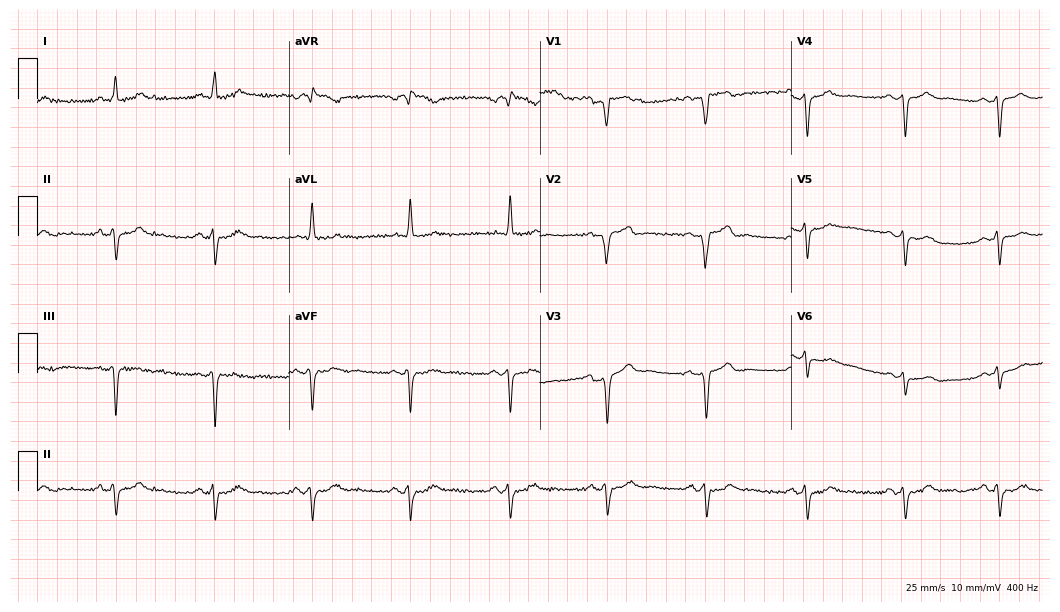
Resting 12-lead electrocardiogram (10.2-second recording at 400 Hz). Patient: a male, 60 years old. None of these six findings is recorded: first-degree AV block, right bundle branch block (RBBB), left bundle branch block (LBBB), sinus bradycardia, atrial fibrillation (AF), sinus tachycardia.